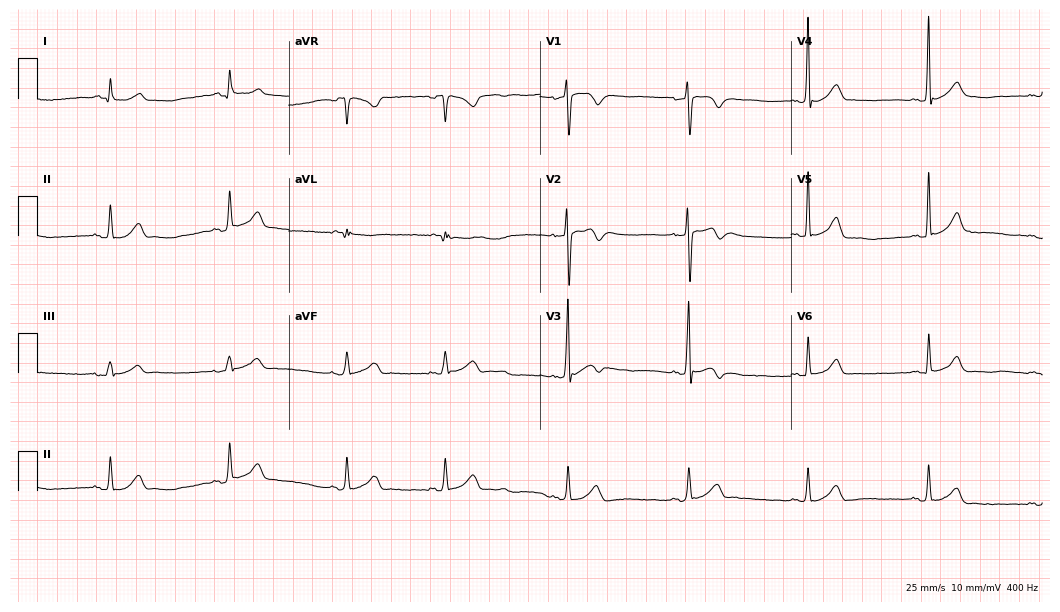
Electrocardiogram (10.2-second recording at 400 Hz), a male patient, 21 years old. Interpretation includes sinus bradycardia (a sinus rate of 50 beats per minute or less).